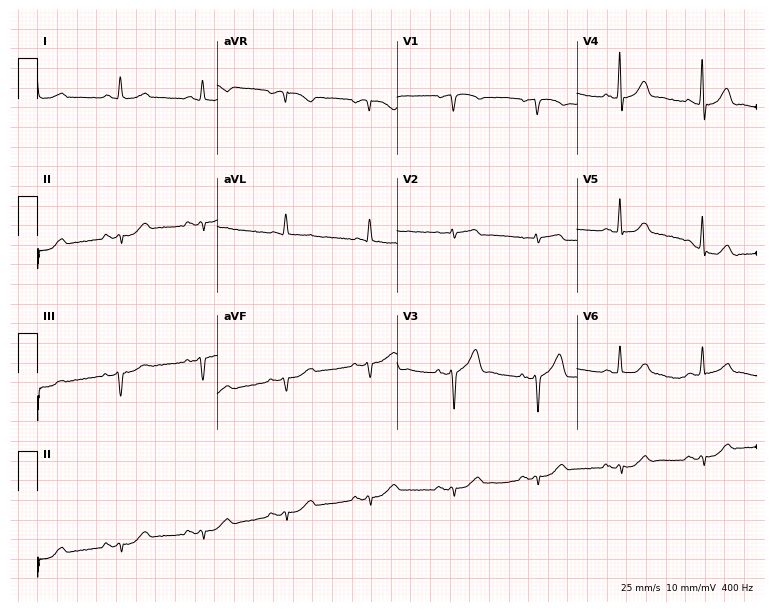
12-lead ECG from a male, 59 years old. Screened for six findings — first-degree AV block, right bundle branch block, left bundle branch block, sinus bradycardia, atrial fibrillation, sinus tachycardia — none is recorded. Other findings, if any, are not listed.